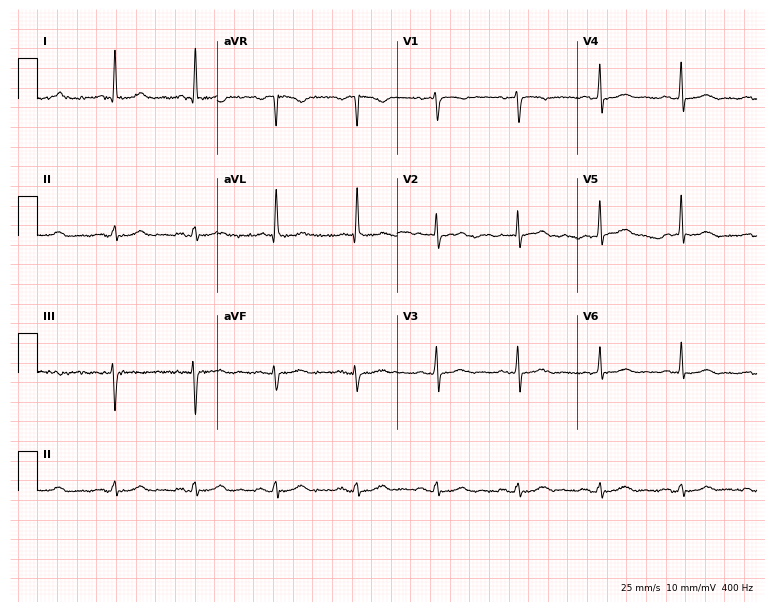
Resting 12-lead electrocardiogram. Patient: a male, 67 years old. None of these six findings is recorded: first-degree AV block, right bundle branch block, left bundle branch block, sinus bradycardia, atrial fibrillation, sinus tachycardia.